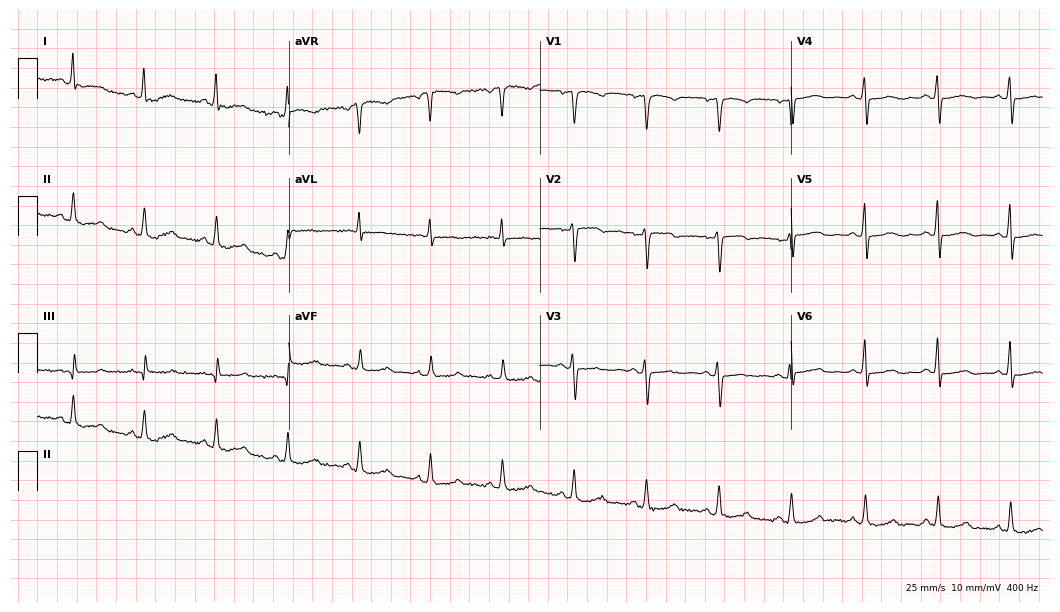
12-lead ECG (10.2-second recording at 400 Hz) from a woman, 46 years old. Screened for six findings — first-degree AV block, right bundle branch block, left bundle branch block, sinus bradycardia, atrial fibrillation, sinus tachycardia — none is recorded. Findings outside these six are not listed.